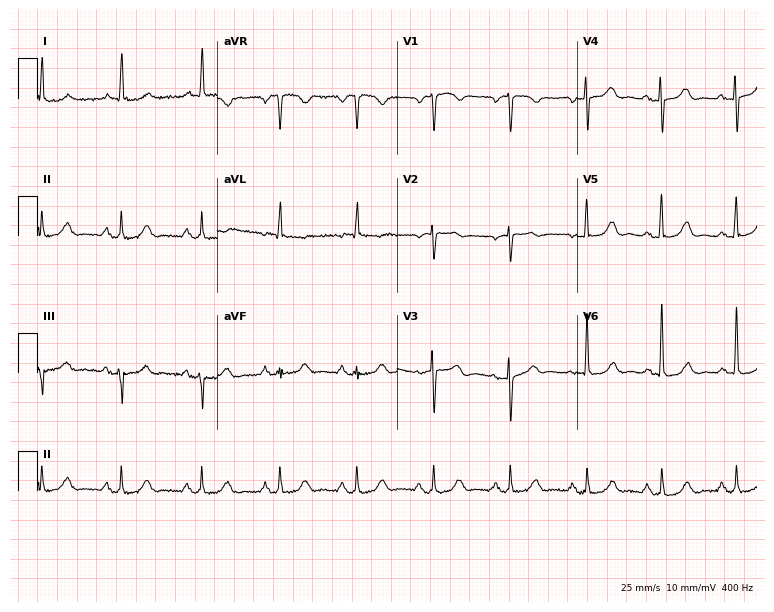
Electrocardiogram, a female, 69 years old. Of the six screened findings (first-degree AV block, right bundle branch block, left bundle branch block, sinus bradycardia, atrial fibrillation, sinus tachycardia), none is recorded. Findings outside these six are not listed.